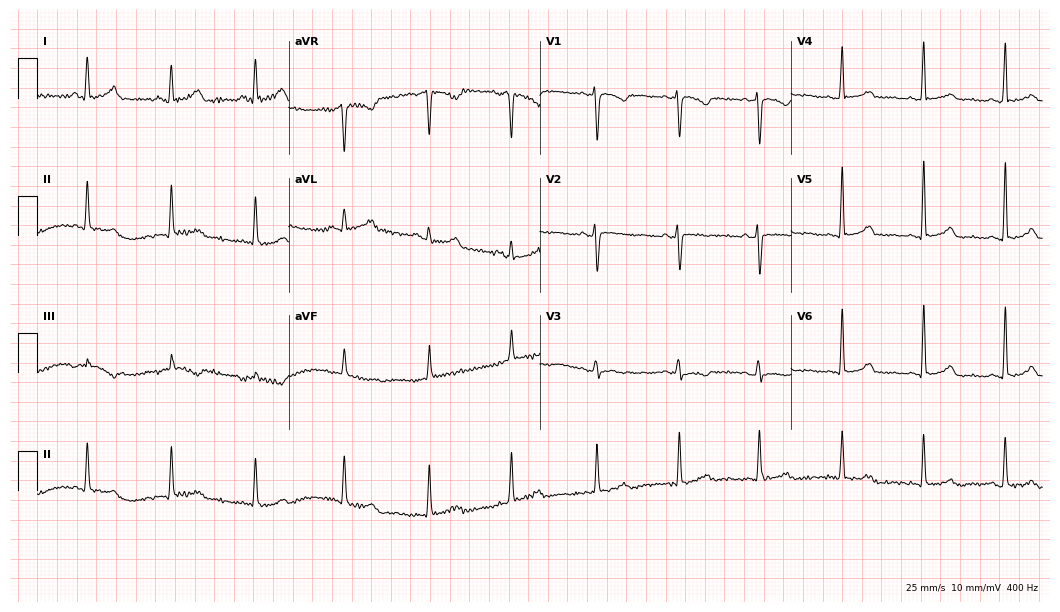
Resting 12-lead electrocardiogram. Patient: a female, 38 years old. Read as a normal ECG.